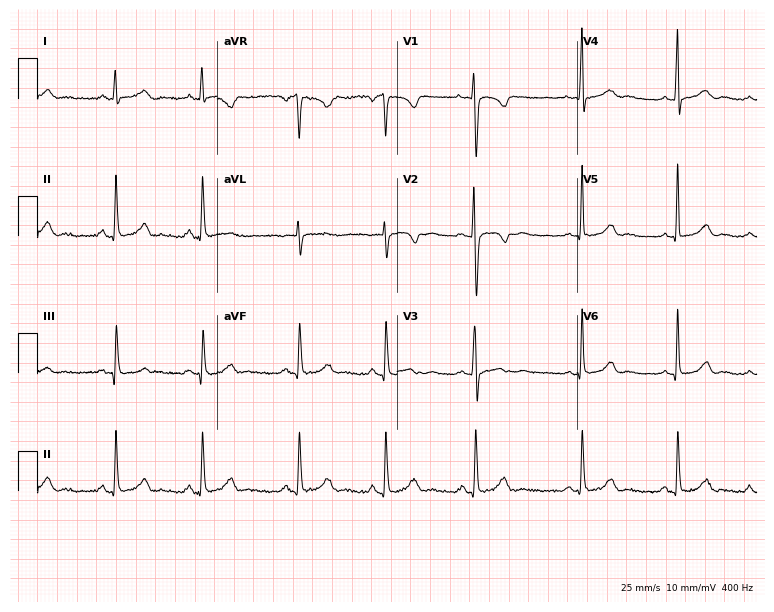
Resting 12-lead electrocardiogram (7.3-second recording at 400 Hz). Patient: a female, 37 years old. None of these six findings is recorded: first-degree AV block, right bundle branch block, left bundle branch block, sinus bradycardia, atrial fibrillation, sinus tachycardia. Other findings, if any, are not listed.